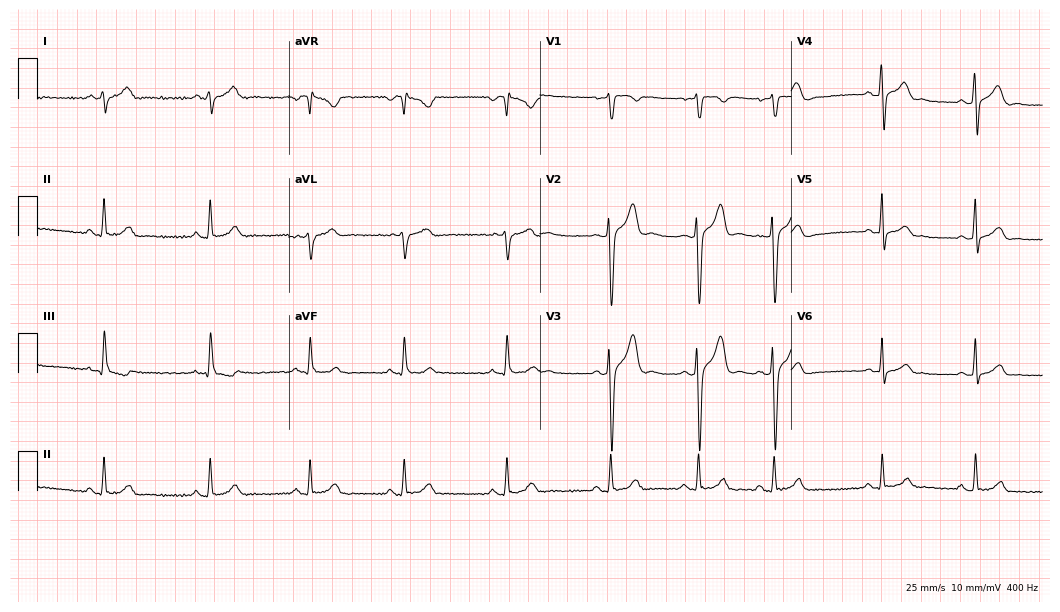
12-lead ECG from a 23-year-old male. Screened for six findings — first-degree AV block, right bundle branch block, left bundle branch block, sinus bradycardia, atrial fibrillation, sinus tachycardia — none is recorded. Only these six findings were labelled.